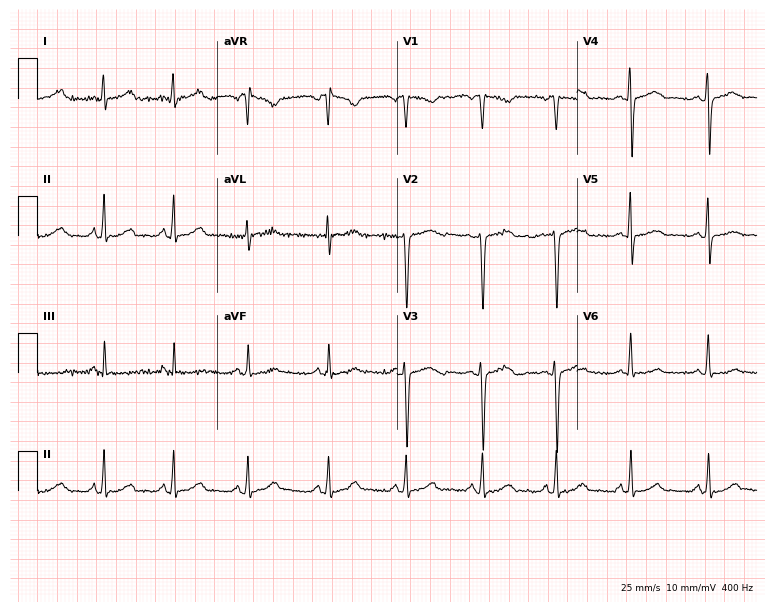
12-lead ECG from a woman, 30 years old. Screened for six findings — first-degree AV block, right bundle branch block (RBBB), left bundle branch block (LBBB), sinus bradycardia, atrial fibrillation (AF), sinus tachycardia — none is recorded. Findings outside these six are not listed.